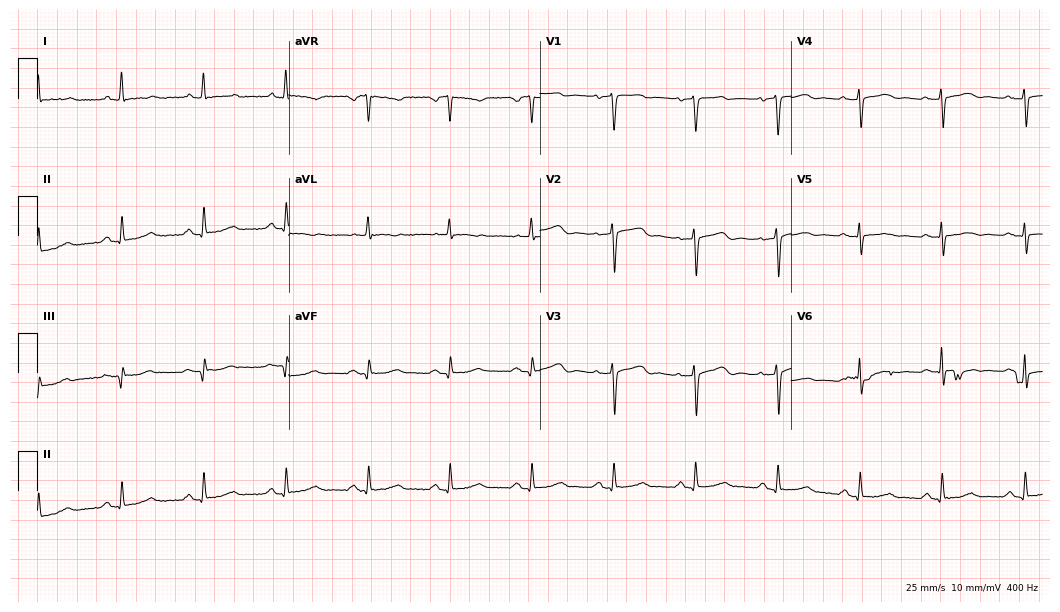
Electrocardiogram, a female, 69 years old. Of the six screened findings (first-degree AV block, right bundle branch block, left bundle branch block, sinus bradycardia, atrial fibrillation, sinus tachycardia), none is recorded. Only these six findings were labelled.